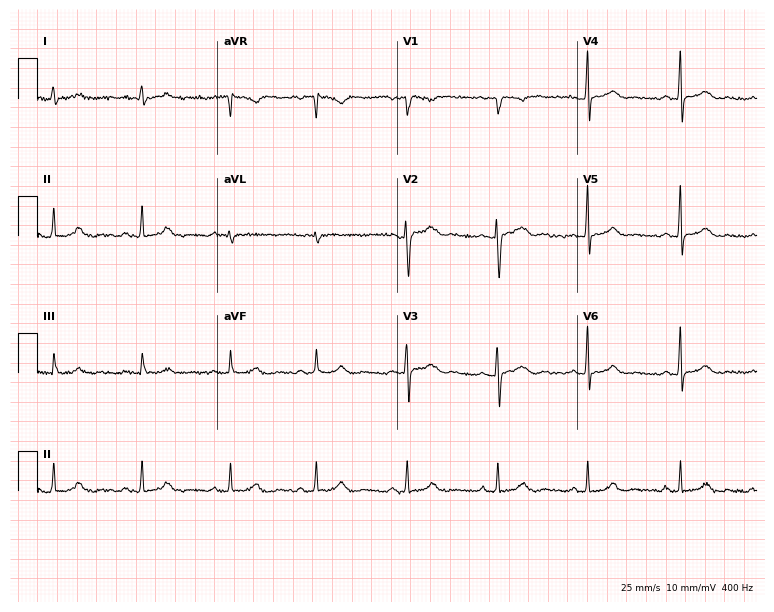
12-lead ECG from a 30-year-old woman. Screened for six findings — first-degree AV block, right bundle branch block, left bundle branch block, sinus bradycardia, atrial fibrillation, sinus tachycardia — none is recorded.